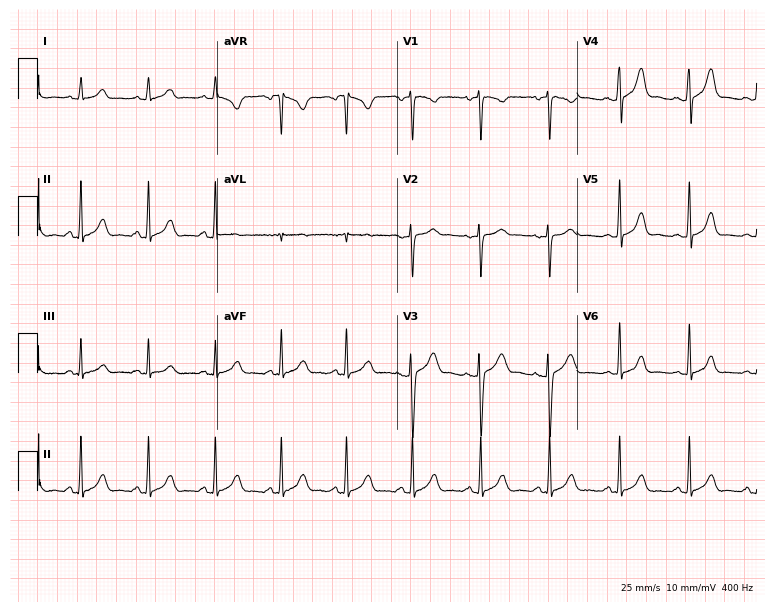
Standard 12-lead ECG recorded from a female patient, 28 years old. None of these six findings is recorded: first-degree AV block, right bundle branch block (RBBB), left bundle branch block (LBBB), sinus bradycardia, atrial fibrillation (AF), sinus tachycardia. Other findings, if any, are not listed.